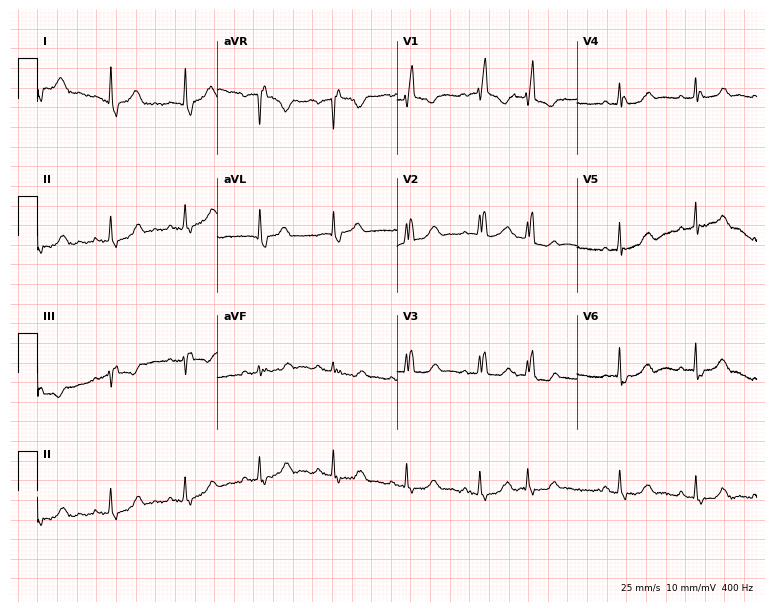
Standard 12-lead ECG recorded from a woman, 73 years old (7.3-second recording at 400 Hz). The tracing shows right bundle branch block.